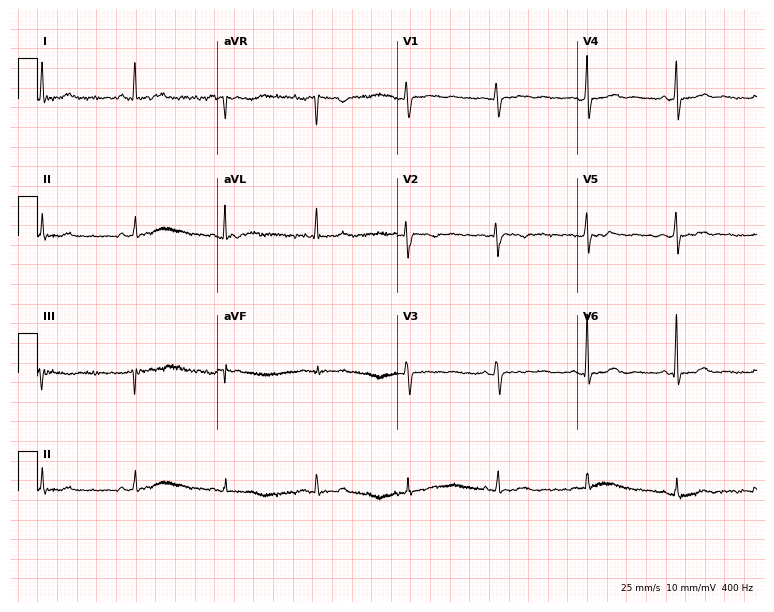
Electrocardiogram (7.3-second recording at 400 Hz), a female, 53 years old. Of the six screened findings (first-degree AV block, right bundle branch block, left bundle branch block, sinus bradycardia, atrial fibrillation, sinus tachycardia), none is recorded. Findings outside these six are not listed.